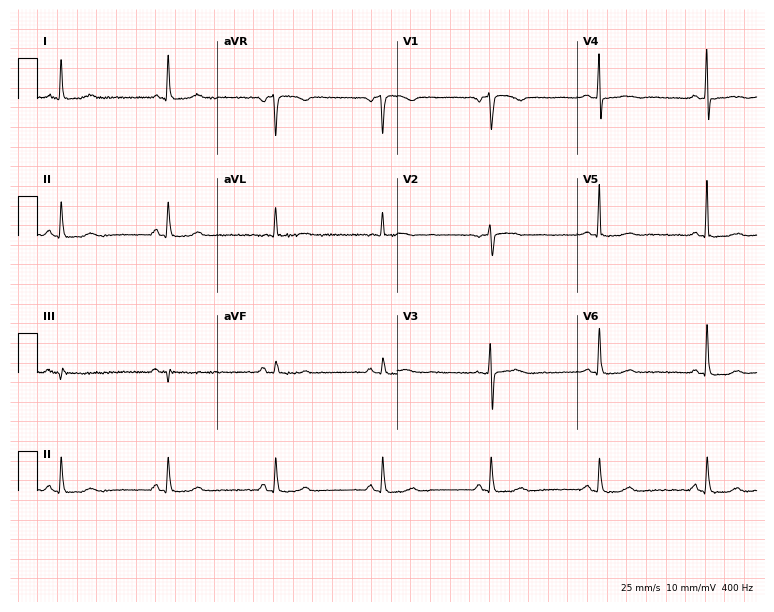
Standard 12-lead ECG recorded from a female, 69 years old (7.3-second recording at 400 Hz). Read as a normal ECG.